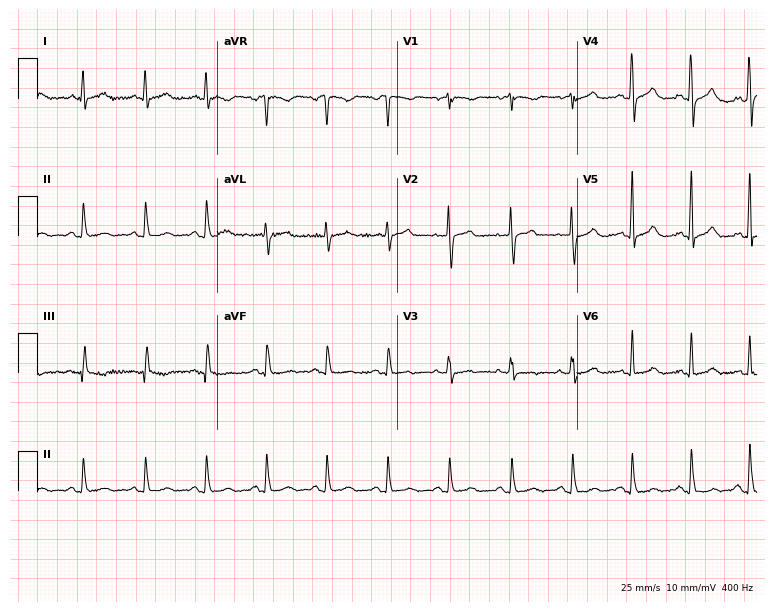
12-lead ECG (7.3-second recording at 400 Hz) from a female patient, 68 years old. Screened for six findings — first-degree AV block, right bundle branch block, left bundle branch block, sinus bradycardia, atrial fibrillation, sinus tachycardia — none is recorded.